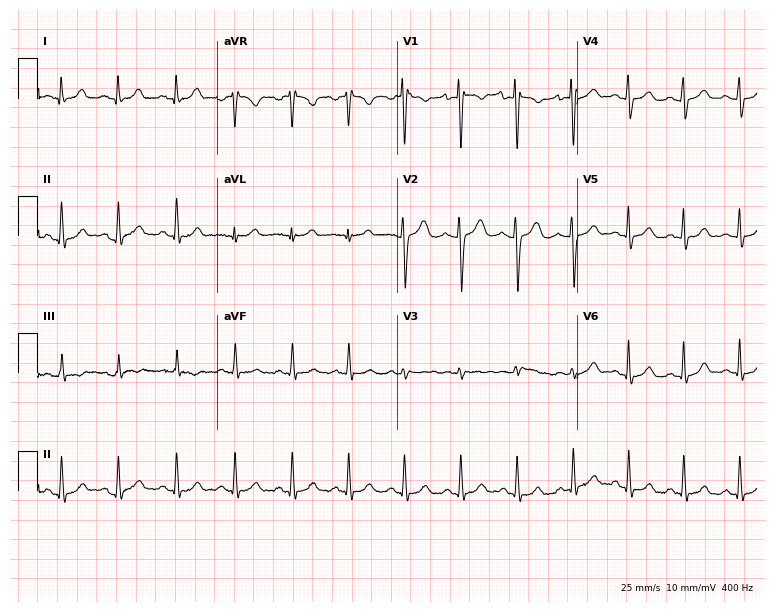
12-lead ECG (7.3-second recording at 400 Hz) from a female patient, 17 years old. Labelled as a normal ECG.